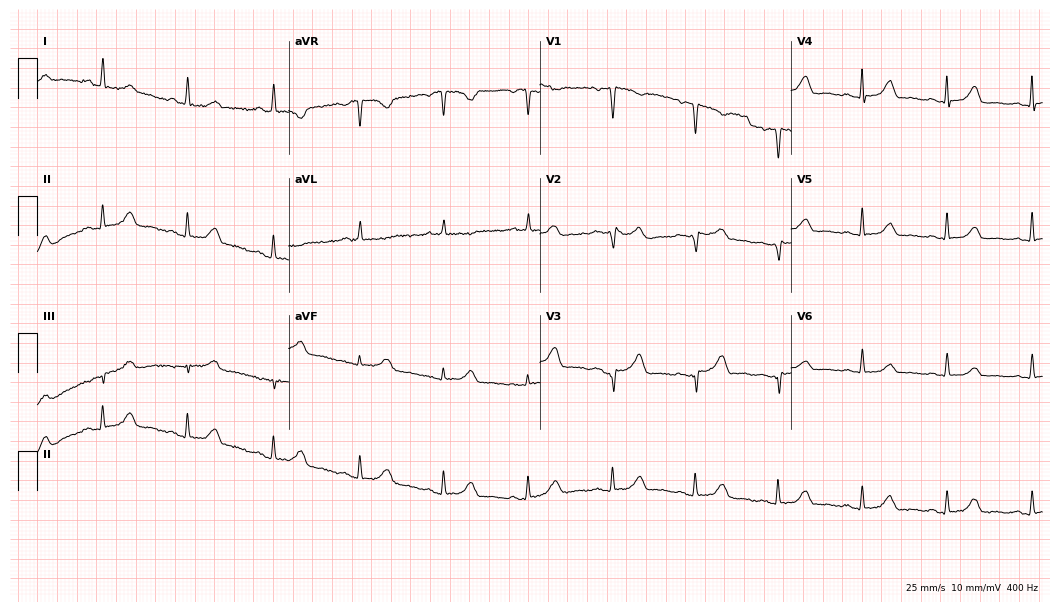
12-lead ECG (10.2-second recording at 400 Hz) from a female, 55 years old. Screened for six findings — first-degree AV block, right bundle branch block, left bundle branch block, sinus bradycardia, atrial fibrillation, sinus tachycardia — none is recorded. Only these six findings were labelled.